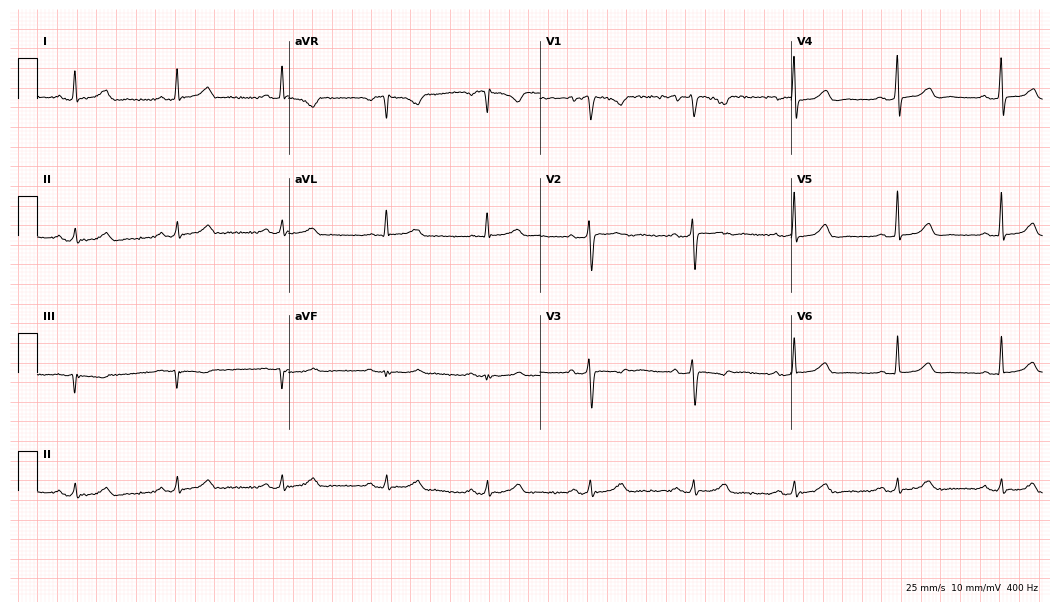
Standard 12-lead ECG recorded from a 57-year-old female. None of these six findings is recorded: first-degree AV block, right bundle branch block, left bundle branch block, sinus bradycardia, atrial fibrillation, sinus tachycardia.